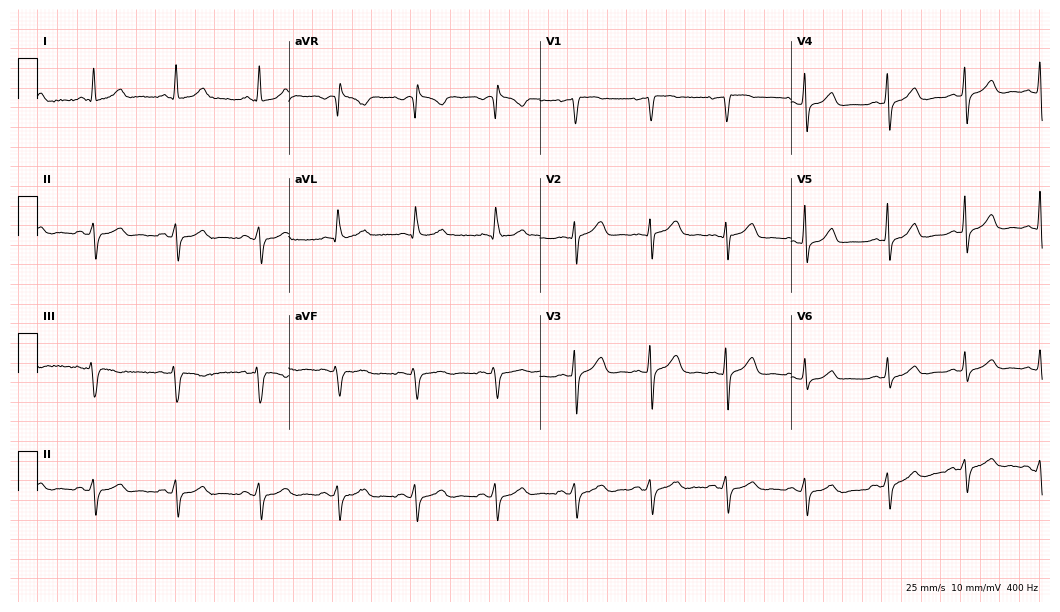
Electrocardiogram, a 63-year-old female. Of the six screened findings (first-degree AV block, right bundle branch block (RBBB), left bundle branch block (LBBB), sinus bradycardia, atrial fibrillation (AF), sinus tachycardia), none is recorded.